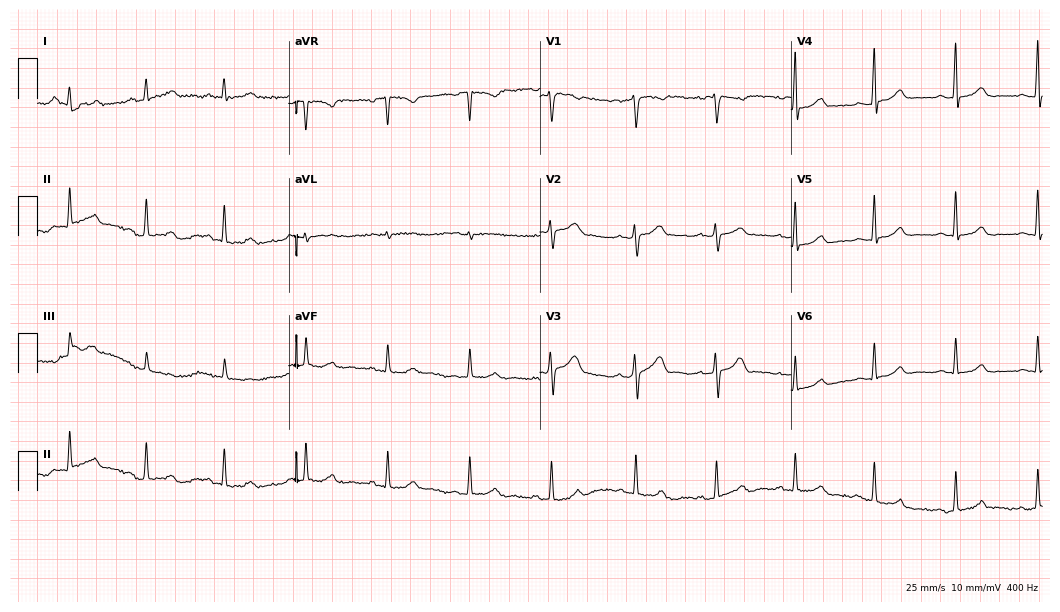
12-lead ECG from a woman, 32 years old. Recorded interpretation: within normal limits.